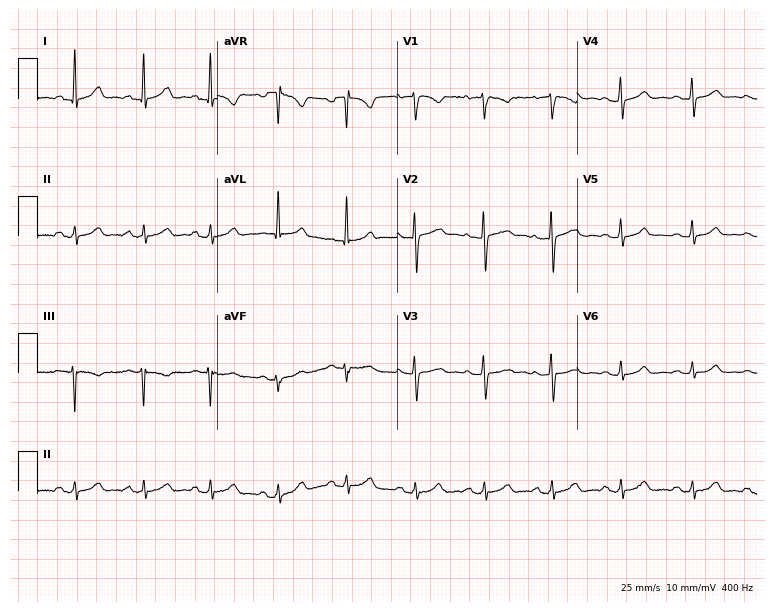
Standard 12-lead ECG recorded from a 39-year-old woman. Read as a normal ECG.